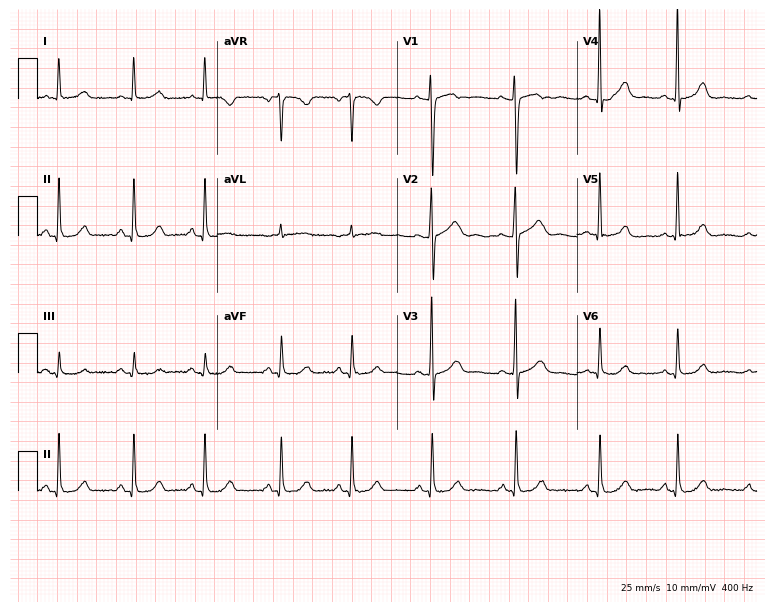
Standard 12-lead ECG recorded from a woman, 27 years old. None of these six findings is recorded: first-degree AV block, right bundle branch block, left bundle branch block, sinus bradycardia, atrial fibrillation, sinus tachycardia.